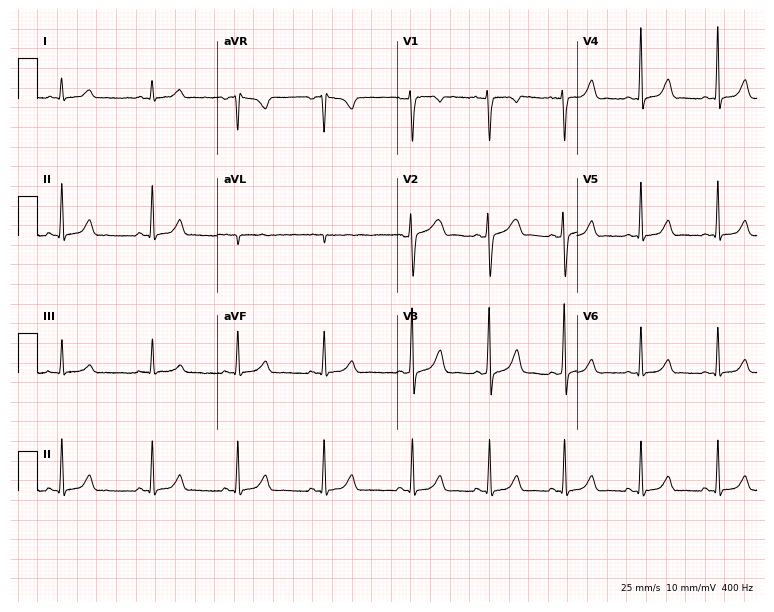
Standard 12-lead ECG recorded from a 25-year-old female patient (7.3-second recording at 400 Hz). Read as a normal ECG.